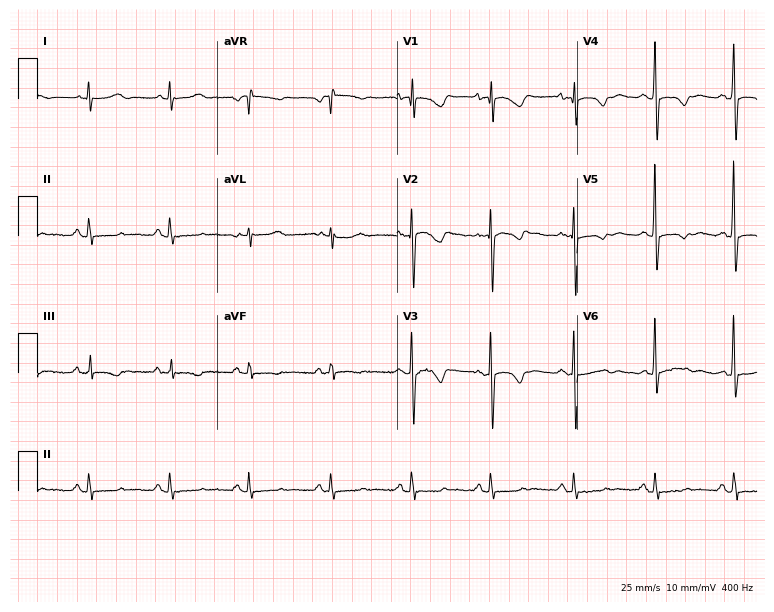
12-lead ECG from a 72-year-old female patient (7.3-second recording at 400 Hz). No first-degree AV block, right bundle branch block (RBBB), left bundle branch block (LBBB), sinus bradycardia, atrial fibrillation (AF) or sinus tachycardia recorded for this tracing.